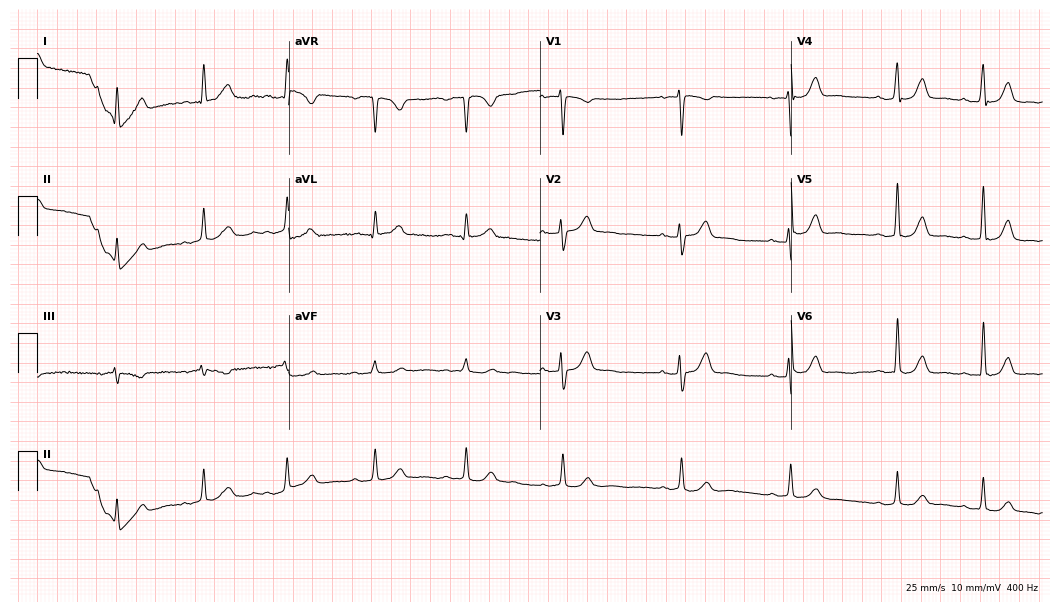
12-lead ECG from a female, 45 years old (10.2-second recording at 400 Hz). Recorded interpretation: within normal limits.